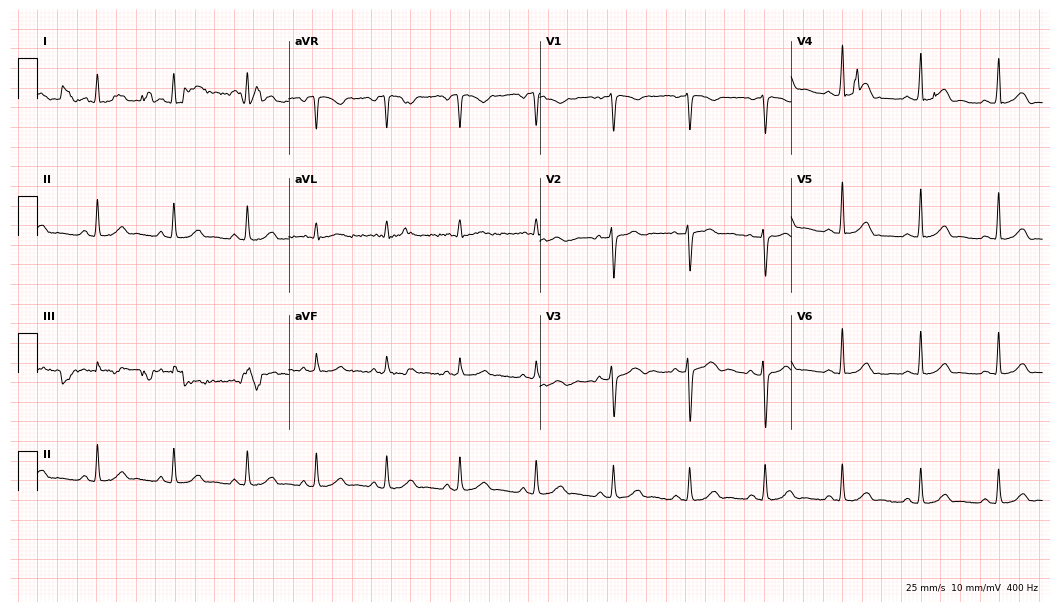
12-lead ECG (10.2-second recording at 400 Hz) from a female, 28 years old. Screened for six findings — first-degree AV block, right bundle branch block (RBBB), left bundle branch block (LBBB), sinus bradycardia, atrial fibrillation (AF), sinus tachycardia — none is recorded.